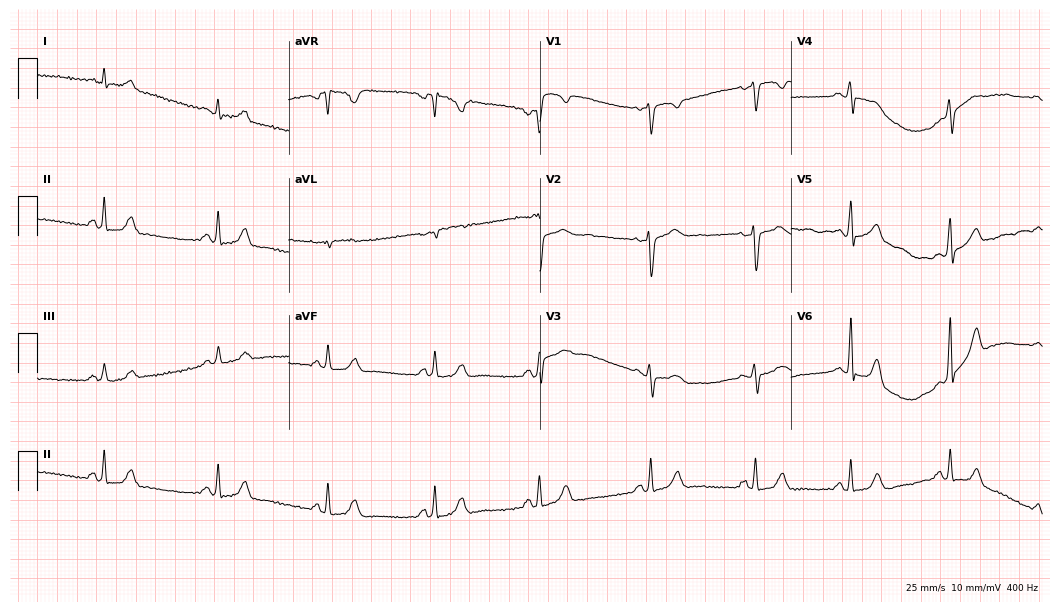
ECG — a 37-year-old female. Labelled as a normal ECG.